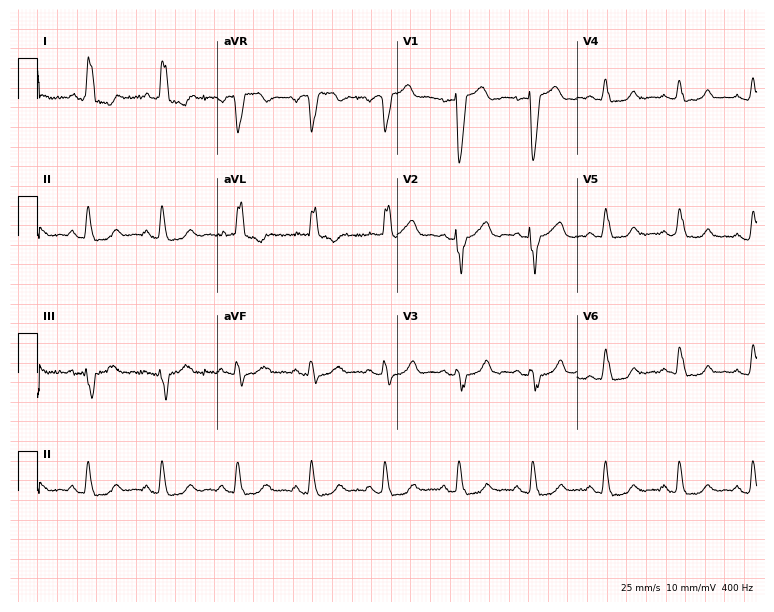
ECG (7.3-second recording at 400 Hz) — a 61-year-old female patient. Findings include left bundle branch block (LBBB).